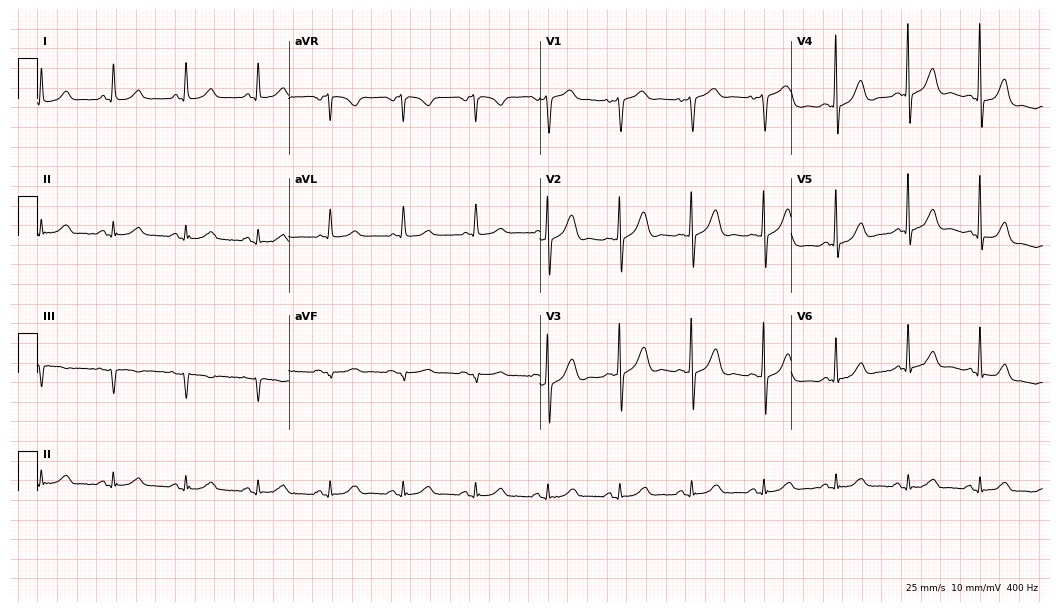
Standard 12-lead ECG recorded from a 71-year-old female (10.2-second recording at 400 Hz). Read as a normal ECG.